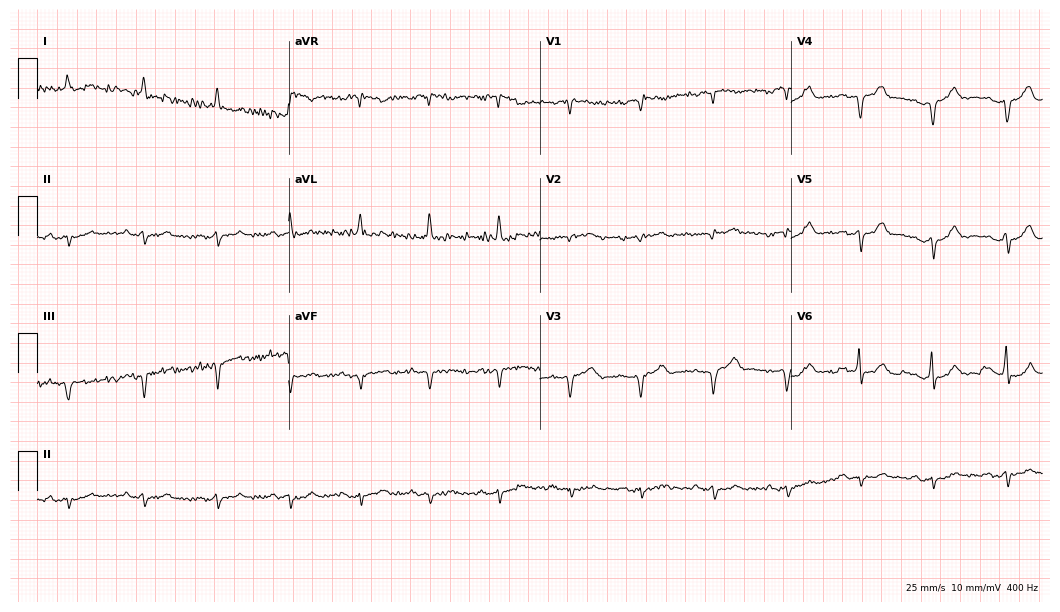
Electrocardiogram, a man, 76 years old. Of the six screened findings (first-degree AV block, right bundle branch block (RBBB), left bundle branch block (LBBB), sinus bradycardia, atrial fibrillation (AF), sinus tachycardia), none is recorded.